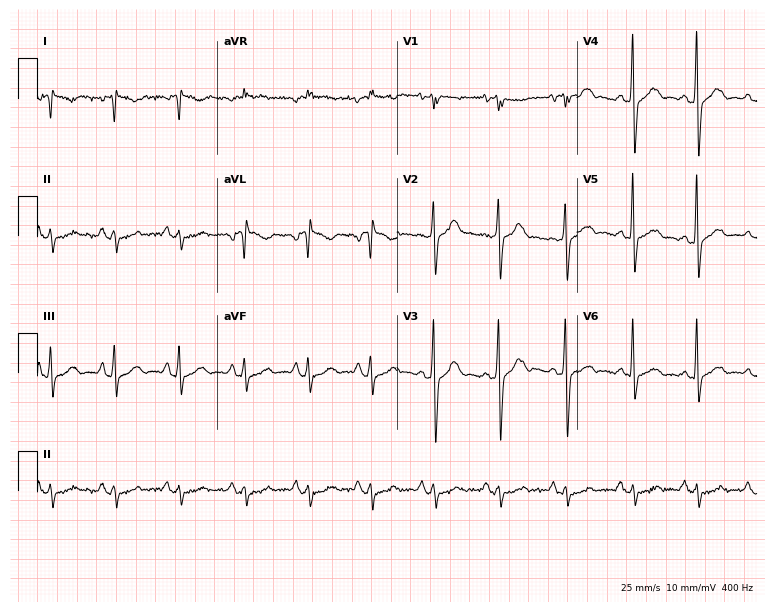
Electrocardiogram (7.3-second recording at 400 Hz), a male patient, 56 years old. Of the six screened findings (first-degree AV block, right bundle branch block, left bundle branch block, sinus bradycardia, atrial fibrillation, sinus tachycardia), none is recorded. Findings outside these six are not listed.